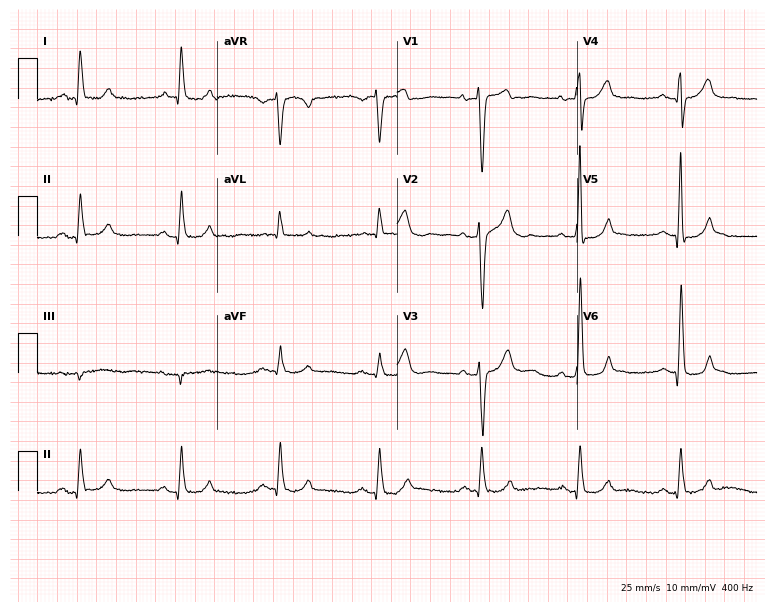
ECG (7.3-second recording at 400 Hz) — a 56-year-old man. Labelled as a normal ECG.